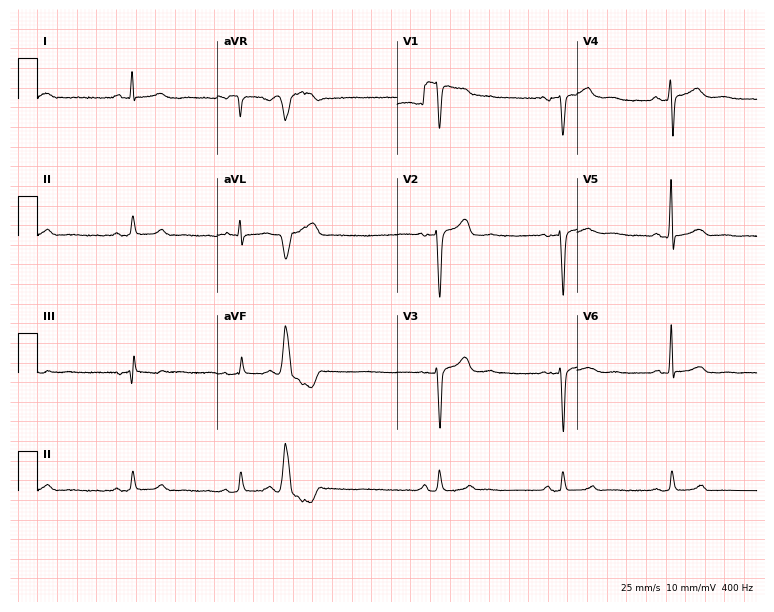
Resting 12-lead electrocardiogram (7.3-second recording at 400 Hz). Patient: a male, 59 years old. None of these six findings is recorded: first-degree AV block, right bundle branch block, left bundle branch block, sinus bradycardia, atrial fibrillation, sinus tachycardia.